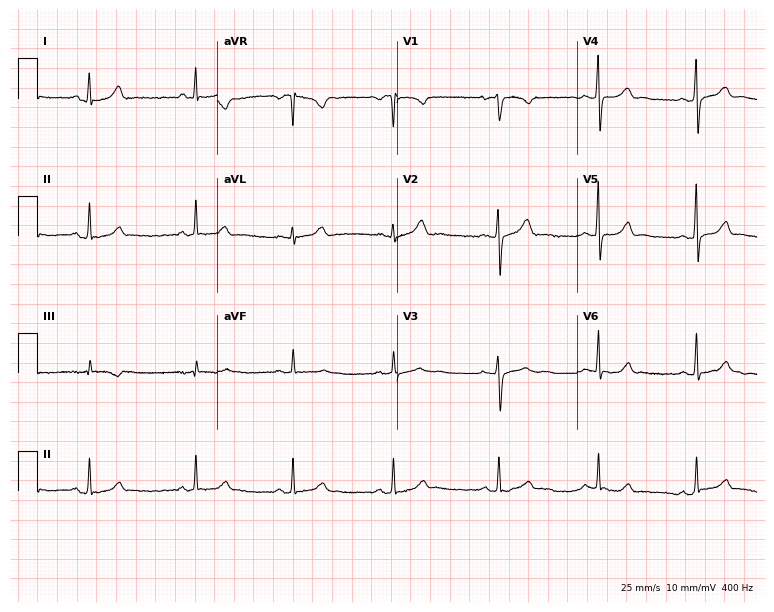
Resting 12-lead electrocardiogram. Patient: a woman, 25 years old. None of these six findings is recorded: first-degree AV block, right bundle branch block (RBBB), left bundle branch block (LBBB), sinus bradycardia, atrial fibrillation (AF), sinus tachycardia. Only these six findings were labelled.